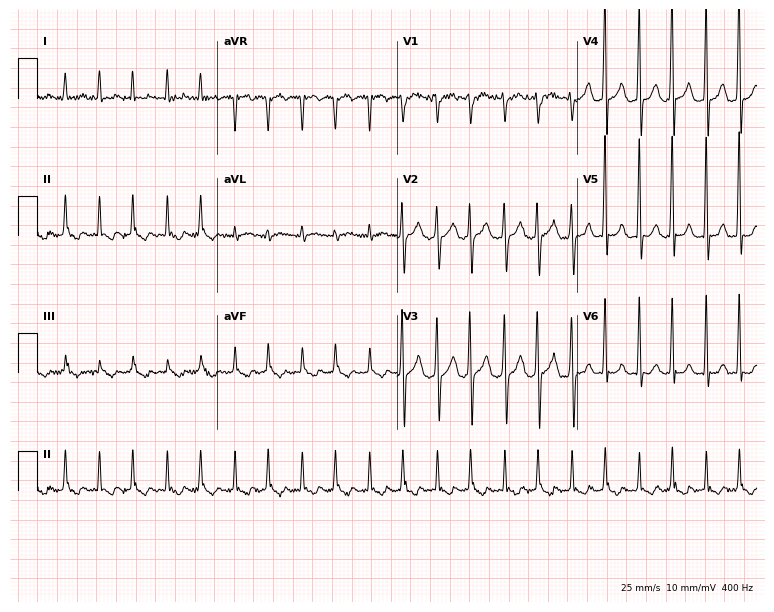
Standard 12-lead ECG recorded from a 50-year-old male patient. None of these six findings is recorded: first-degree AV block, right bundle branch block, left bundle branch block, sinus bradycardia, atrial fibrillation, sinus tachycardia. Only these six findings were labelled.